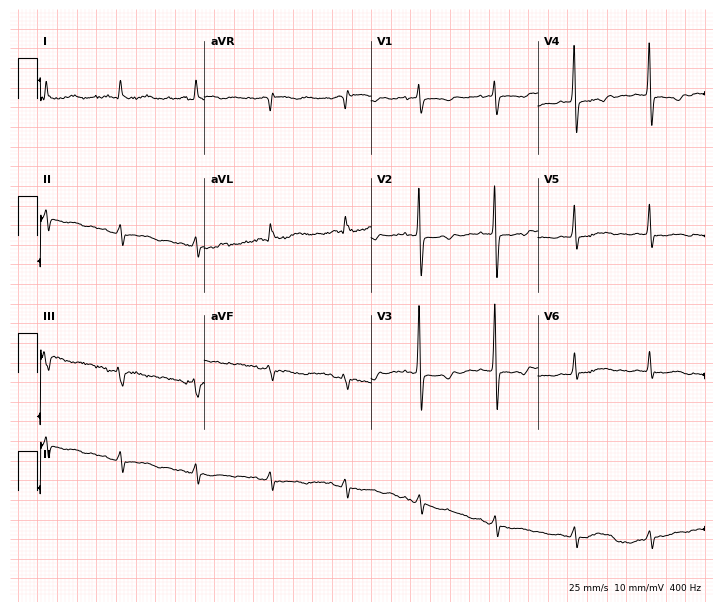
ECG — an 83-year-old female patient. Screened for six findings — first-degree AV block, right bundle branch block, left bundle branch block, sinus bradycardia, atrial fibrillation, sinus tachycardia — none is recorded.